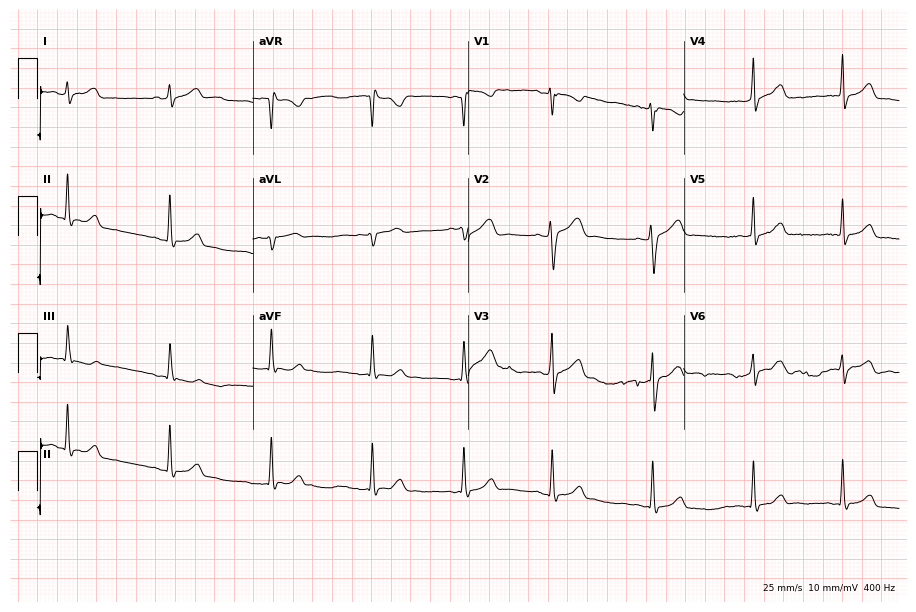
ECG (8.8-second recording at 400 Hz) — a 17-year-old female. Labelled as a normal ECG.